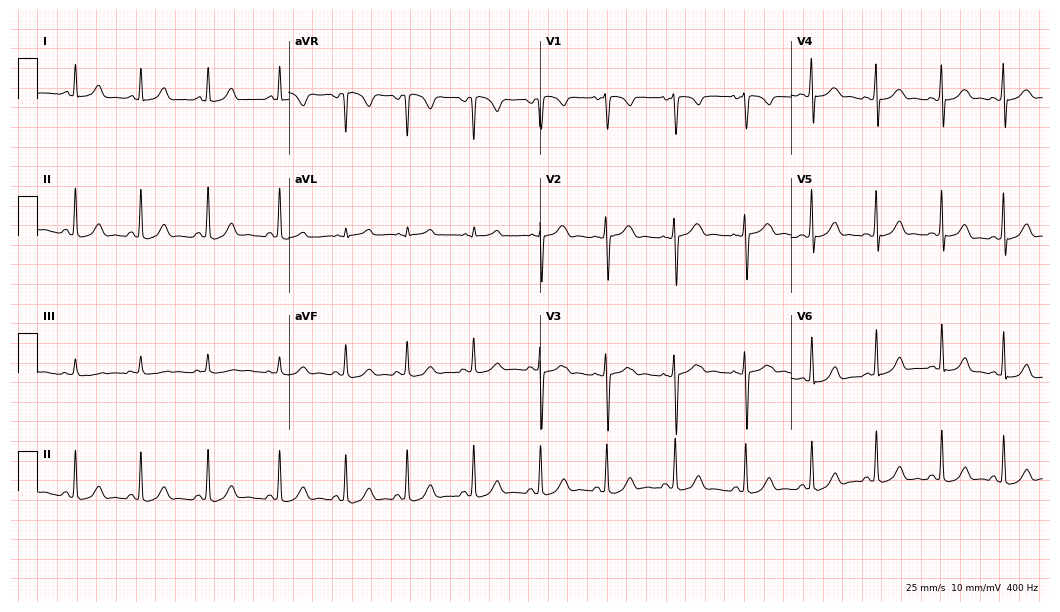
Standard 12-lead ECG recorded from a female, 18 years old. None of these six findings is recorded: first-degree AV block, right bundle branch block (RBBB), left bundle branch block (LBBB), sinus bradycardia, atrial fibrillation (AF), sinus tachycardia.